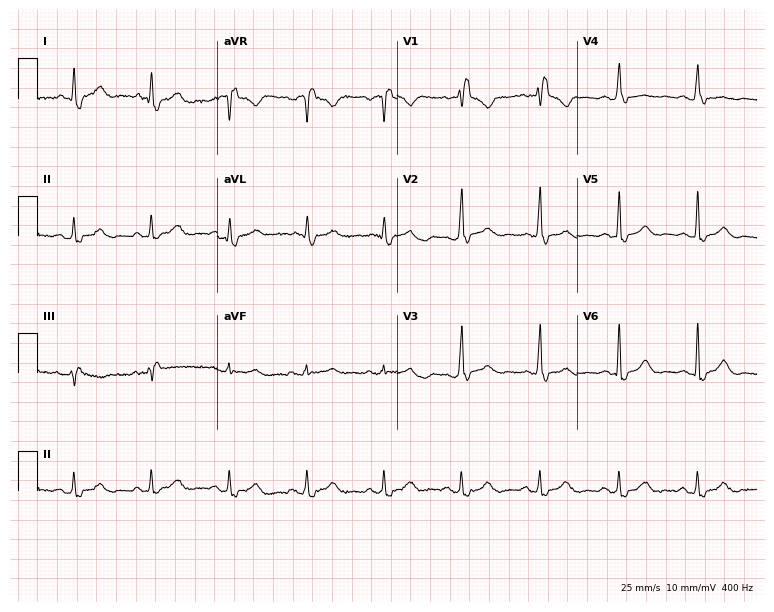
12-lead ECG from a 48-year-old woman. Shows right bundle branch block.